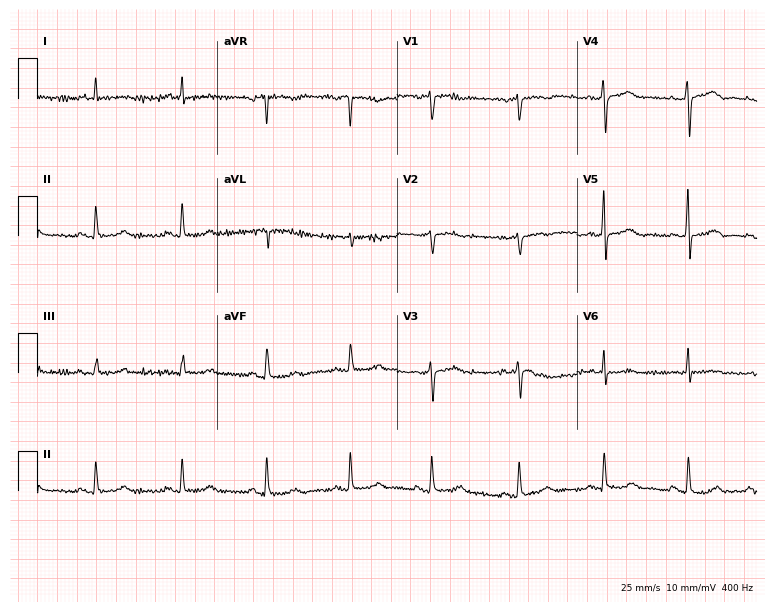
Resting 12-lead electrocardiogram (7.3-second recording at 400 Hz). Patient: a female, 68 years old. None of these six findings is recorded: first-degree AV block, right bundle branch block, left bundle branch block, sinus bradycardia, atrial fibrillation, sinus tachycardia.